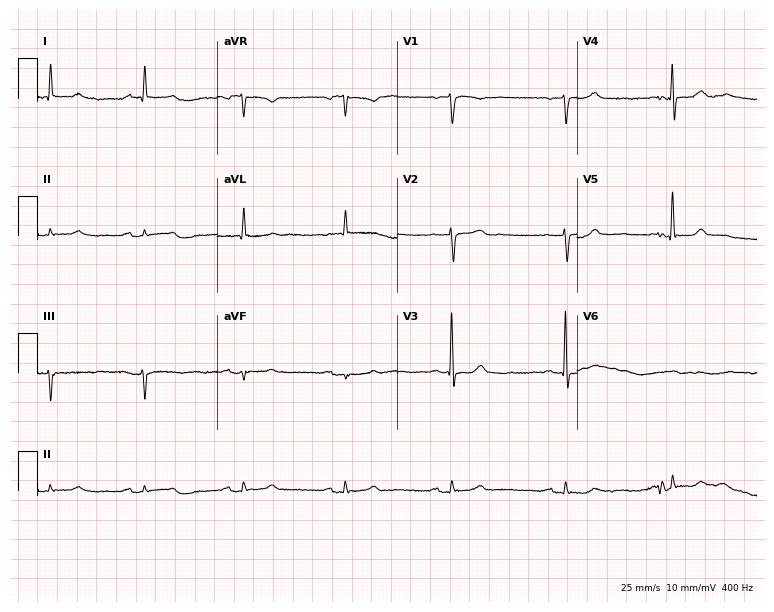
Standard 12-lead ECG recorded from a 56-year-old male patient (7.3-second recording at 400 Hz). None of these six findings is recorded: first-degree AV block, right bundle branch block (RBBB), left bundle branch block (LBBB), sinus bradycardia, atrial fibrillation (AF), sinus tachycardia.